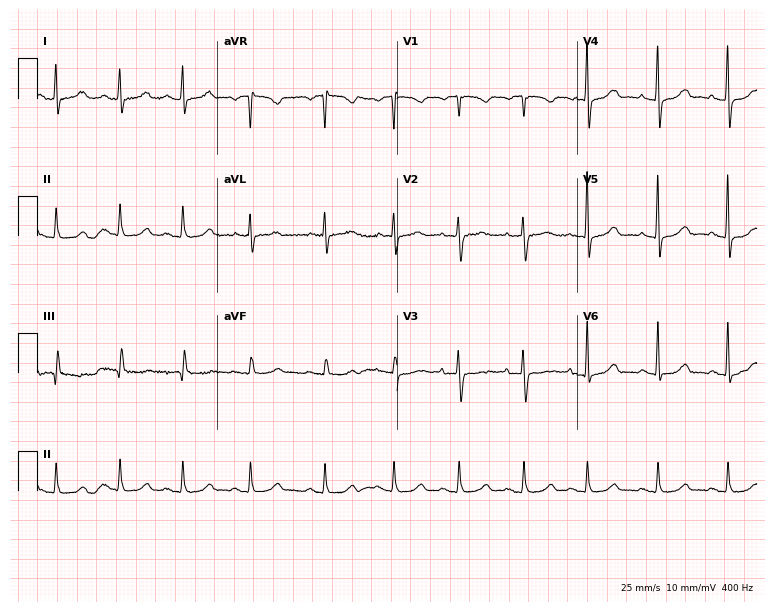
12-lead ECG from a 79-year-old woman (7.3-second recording at 400 Hz). Recorded interpretation: within normal limits.